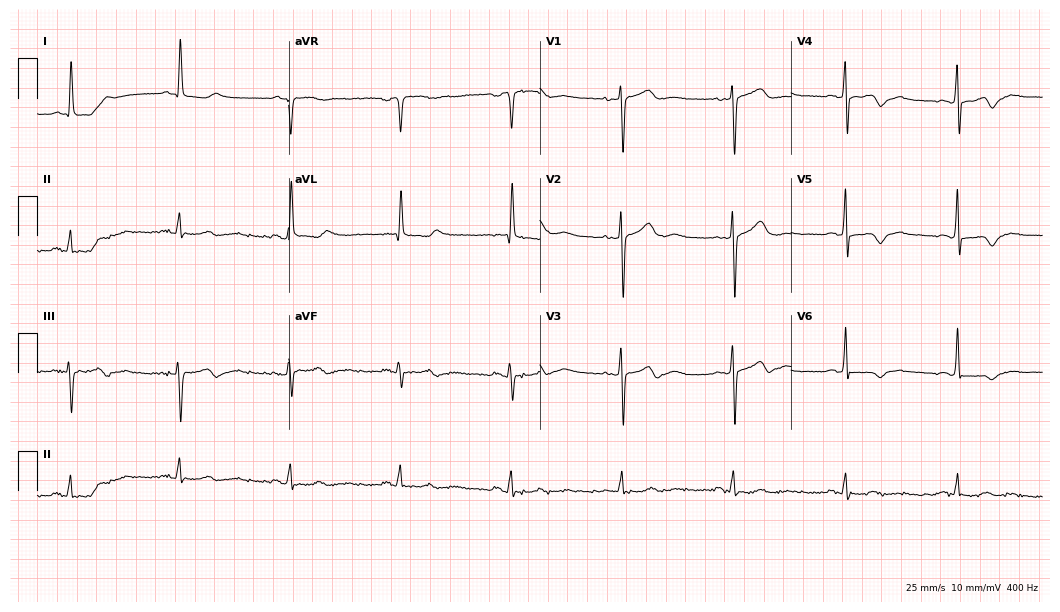
Resting 12-lead electrocardiogram. Patient: a woman, 70 years old. None of these six findings is recorded: first-degree AV block, right bundle branch block, left bundle branch block, sinus bradycardia, atrial fibrillation, sinus tachycardia.